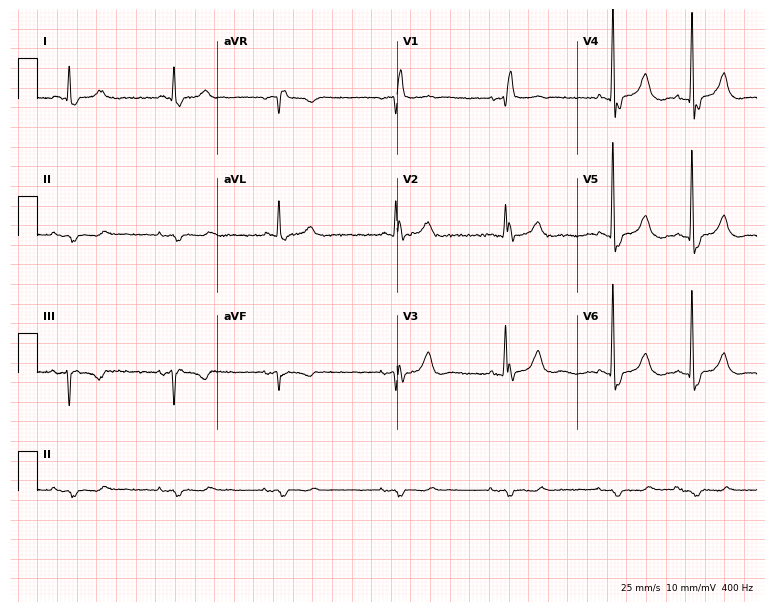
Electrocardiogram (7.3-second recording at 400 Hz), an 82-year-old male patient. Interpretation includes right bundle branch block.